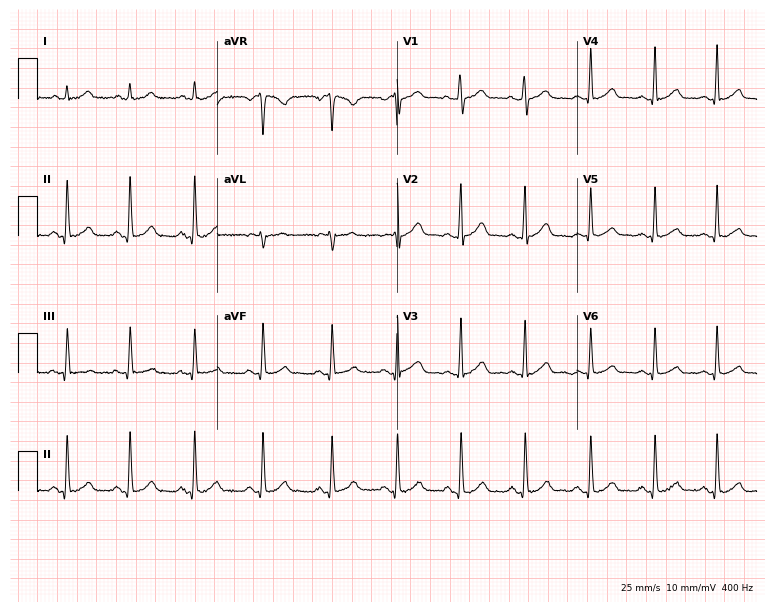
Standard 12-lead ECG recorded from an 18-year-old male patient. None of these six findings is recorded: first-degree AV block, right bundle branch block, left bundle branch block, sinus bradycardia, atrial fibrillation, sinus tachycardia. Findings outside these six are not listed.